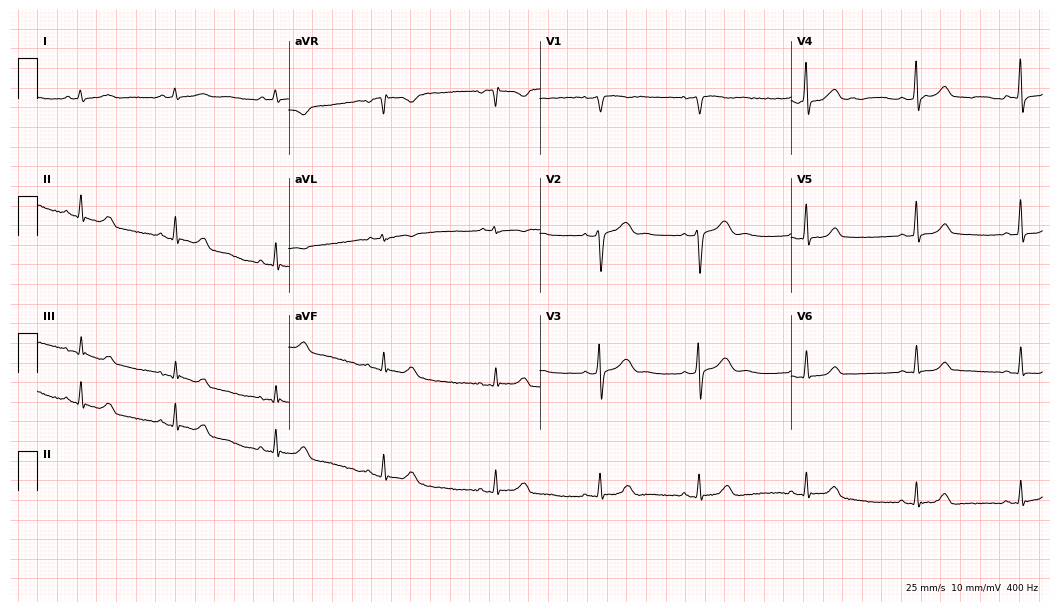
Electrocardiogram, a female, 36 years old. Of the six screened findings (first-degree AV block, right bundle branch block, left bundle branch block, sinus bradycardia, atrial fibrillation, sinus tachycardia), none is recorded. Other findings, if any, are not listed.